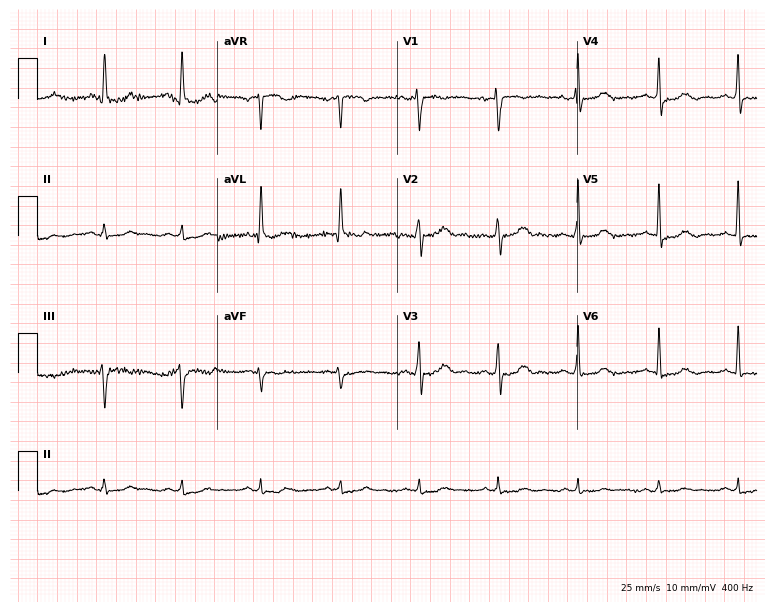
Resting 12-lead electrocardiogram. Patient: a 65-year-old female. None of these six findings is recorded: first-degree AV block, right bundle branch block, left bundle branch block, sinus bradycardia, atrial fibrillation, sinus tachycardia.